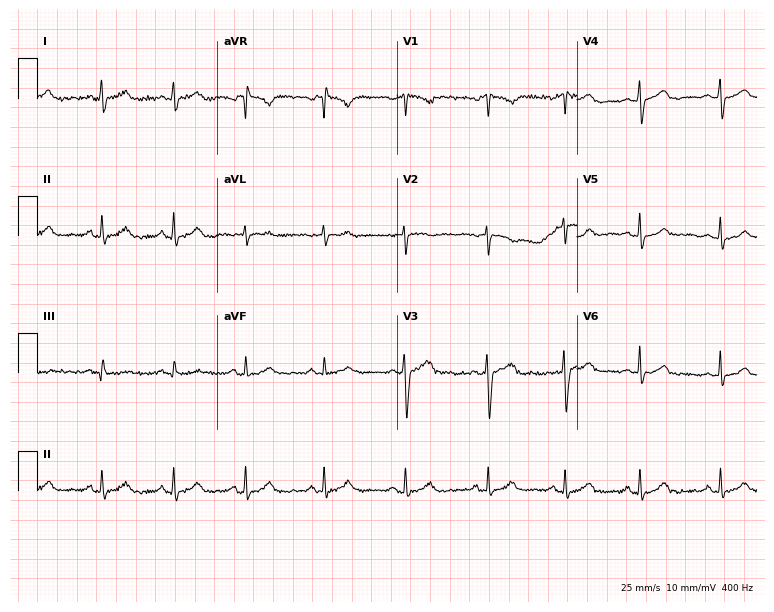
Resting 12-lead electrocardiogram. Patient: a 33-year-old female. Read as a normal ECG.